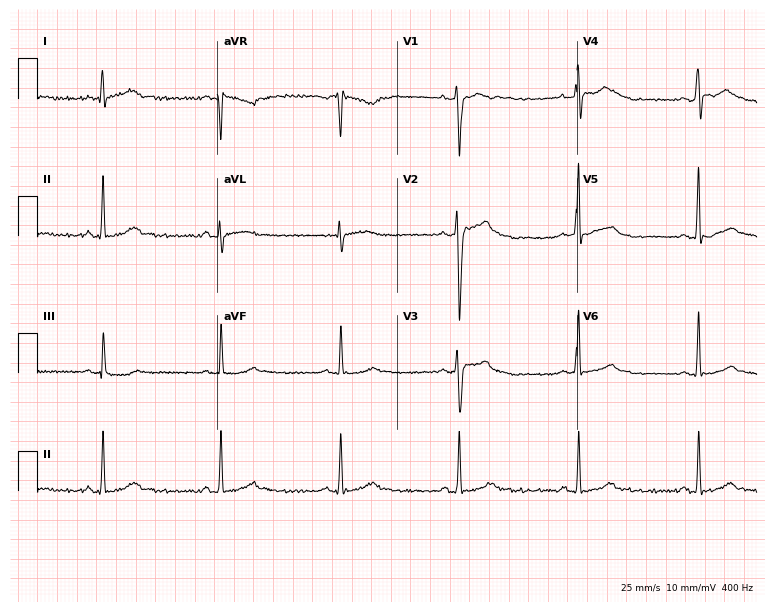
Resting 12-lead electrocardiogram (7.3-second recording at 400 Hz). Patient: a male, 28 years old. The tracing shows right bundle branch block.